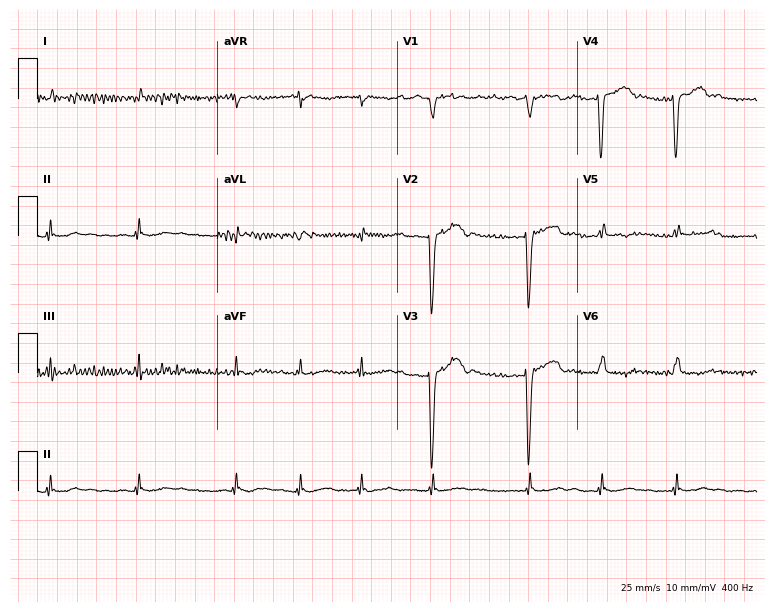
12-lead ECG from a 65-year-old male patient. Findings include atrial fibrillation.